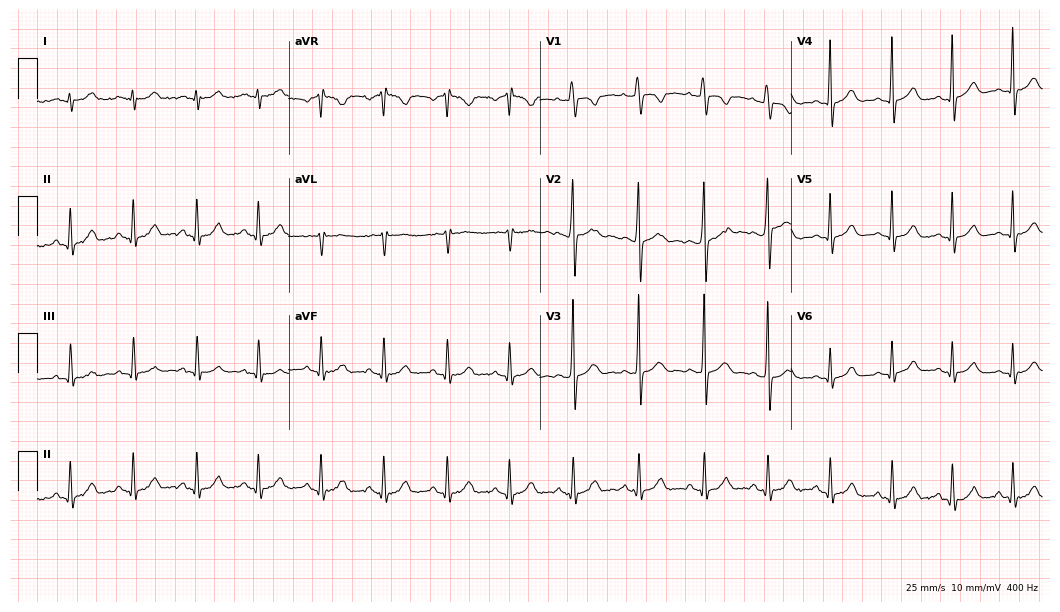
Standard 12-lead ECG recorded from a female patient, 18 years old. None of these six findings is recorded: first-degree AV block, right bundle branch block (RBBB), left bundle branch block (LBBB), sinus bradycardia, atrial fibrillation (AF), sinus tachycardia.